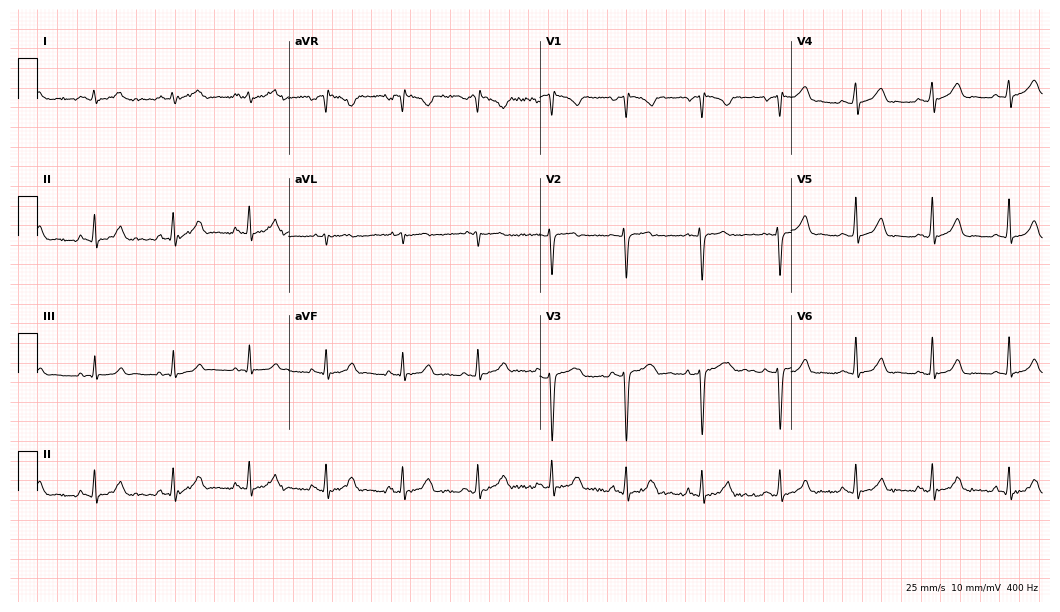
Electrocardiogram, a 26-year-old woman. Overall reading on record: normal ECG.